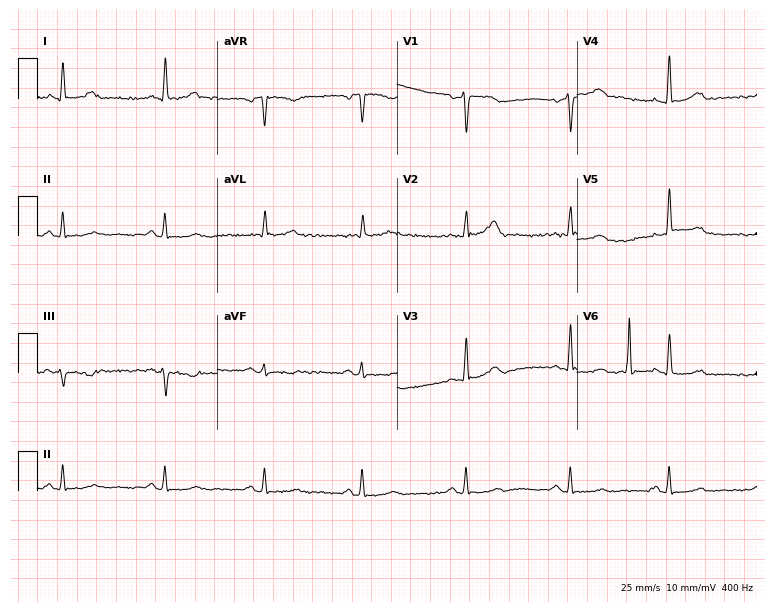
Resting 12-lead electrocardiogram. Patient: a 42-year-old female. None of these six findings is recorded: first-degree AV block, right bundle branch block, left bundle branch block, sinus bradycardia, atrial fibrillation, sinus tachycardia.